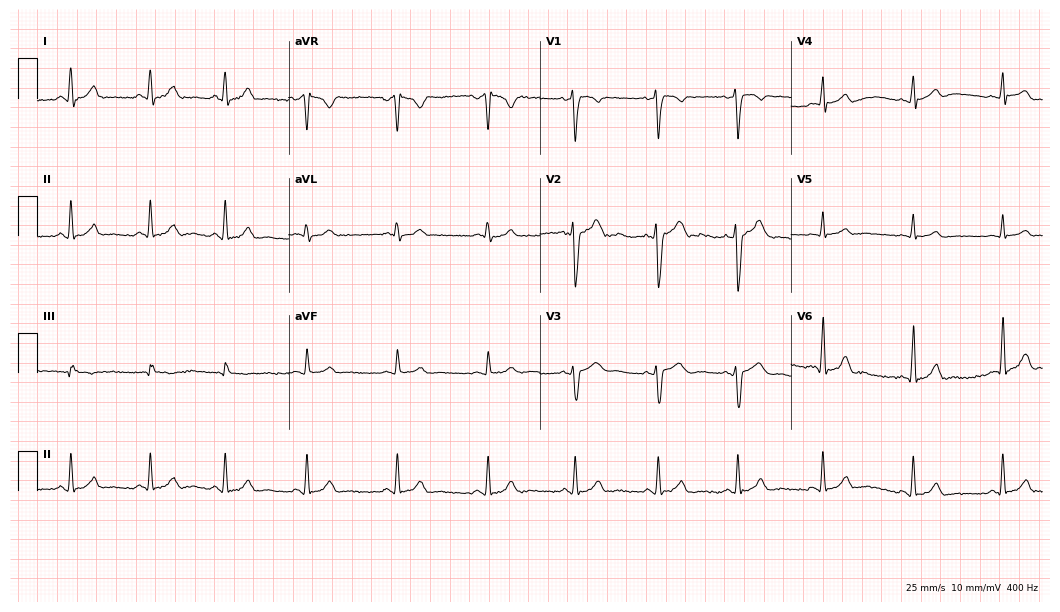
Resting 12-lead electrocardiogram (10.2-second recording at 400 Hz). Patient: a 24-year-old male. Read as a normal ECG.